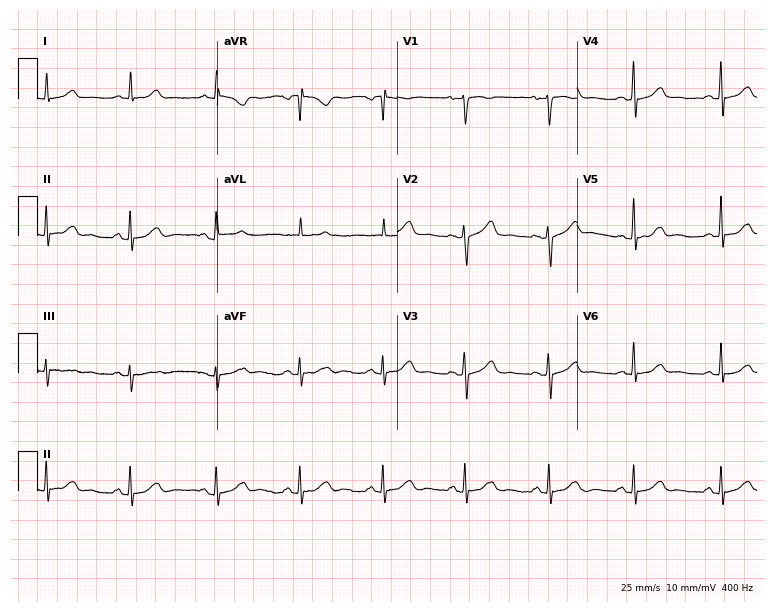
Standard 12-lead ECG recorded from a 55-year-old female patient. Read as a normal ECG.